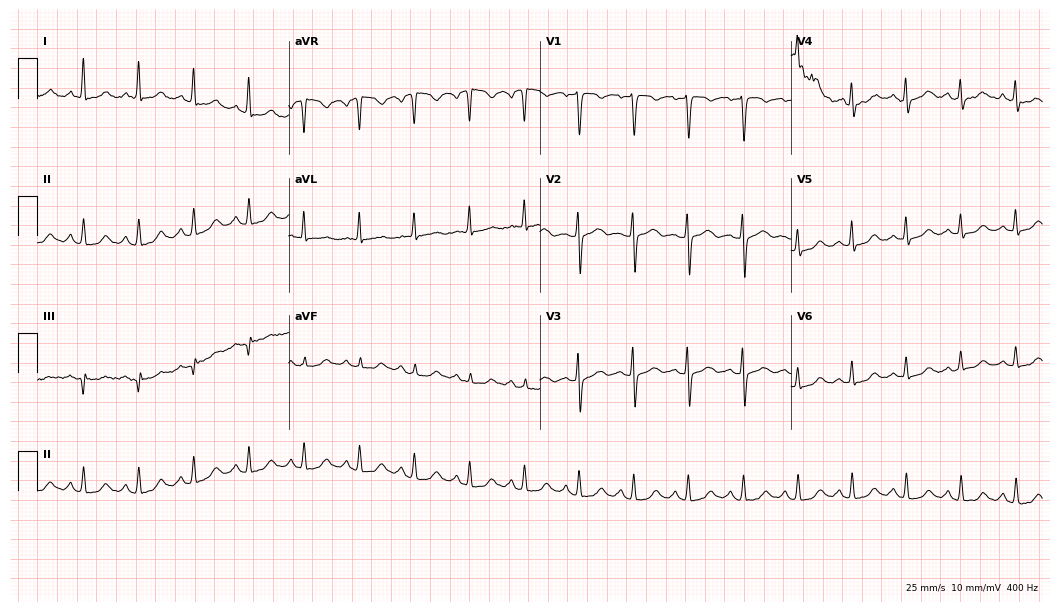
Standard 12-lead ECG recorded from a female patient, 61 years old. The tracing shows sinus tachycardia (a sinus rate of 100 beats per minute or more).